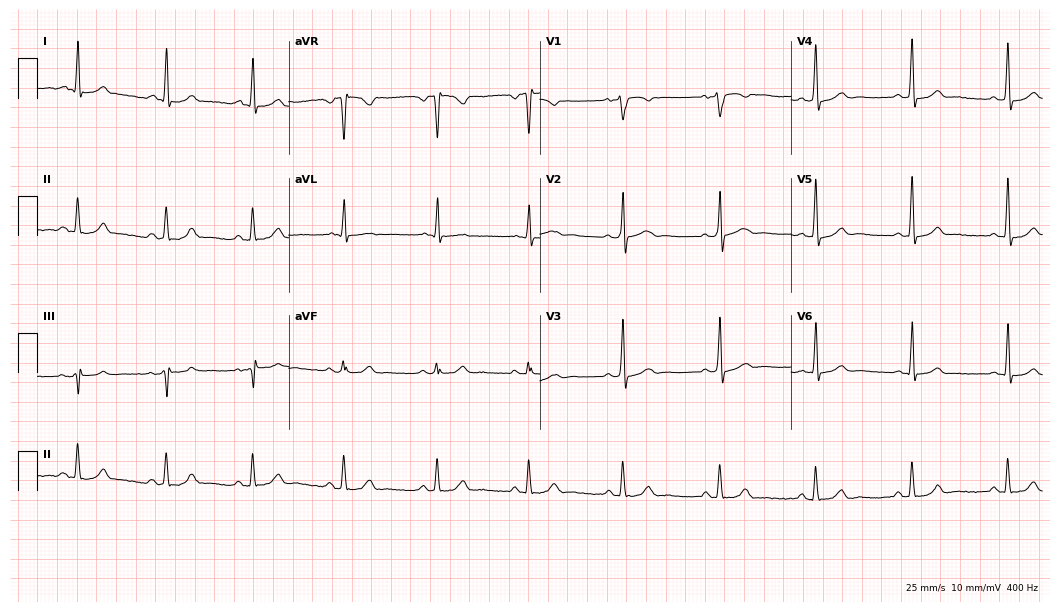
12-lead ECG from a 37-year-old male. Screened for six findings — first-degree AV block, right bundle branch block (RBBB), left bundle branch block (LBBB), sinus bradycardia, atrial fibrillation (AF), sinus tachycardia — none is recorded.